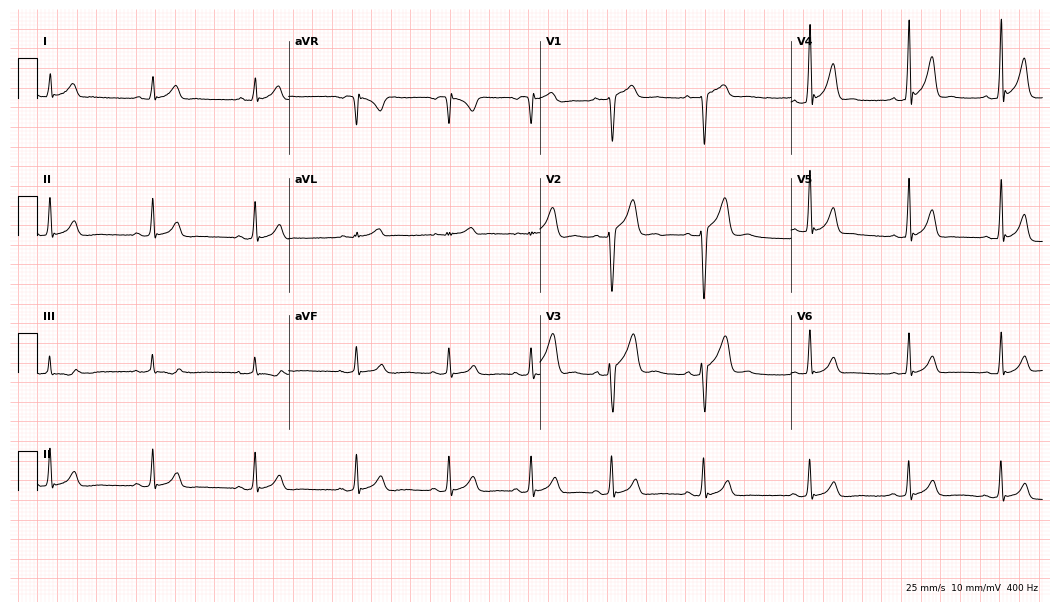
ECG (10.2-second recording at 400 Hz) — a man, 19 years old. Labelled as a normal ECG.